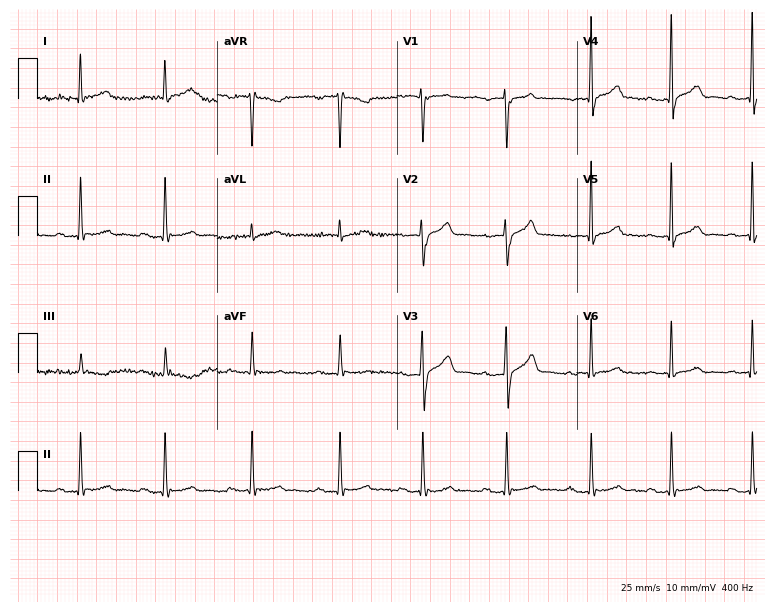
Electrocardiogram (7.3-second recording at 400 Hz), a 57-year-old man. Overall reading on record: normal ECG.